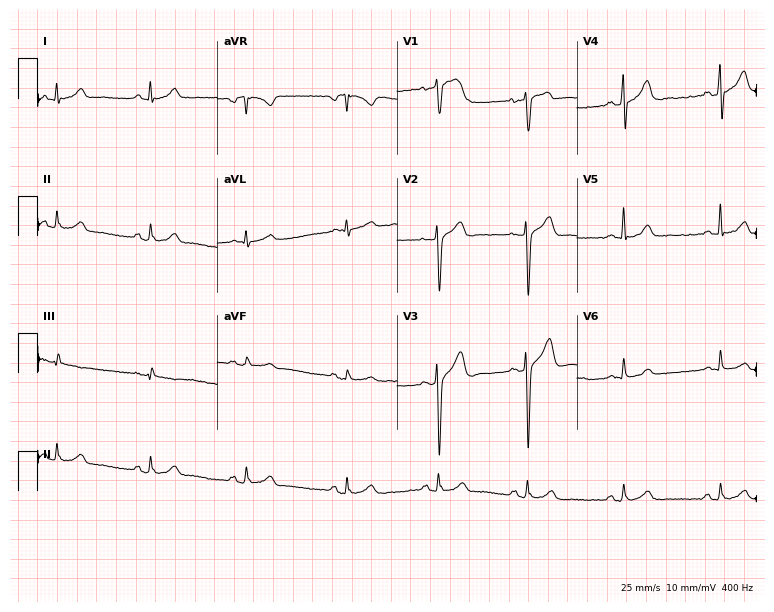
Electrocardiogram (7.3-second recording at 400 Hz), a 33-year-old man. Of the six screened findings (first-degree AV block, right bundle branch block (RBBB), left bundle branch block (LBBB), sinus bradycardia, atrial fibrillation (AF), sinus tachycardia), none is recorded.